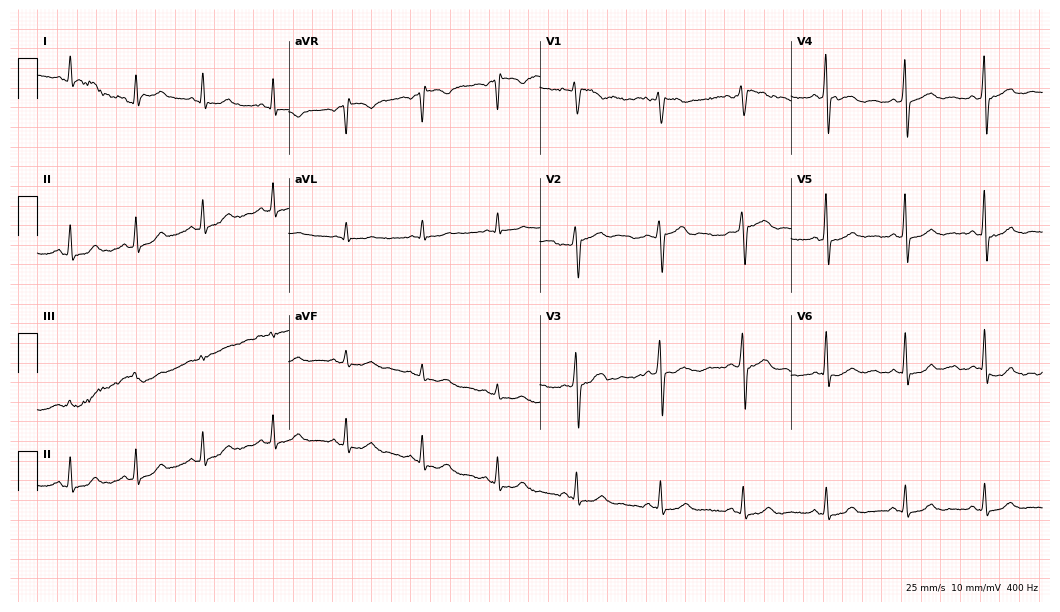
Resting 12-lead electrocardiogram (10.2-second recording at 400 Hz). Patient: a 50-year-old male. Read as a normal ECG.